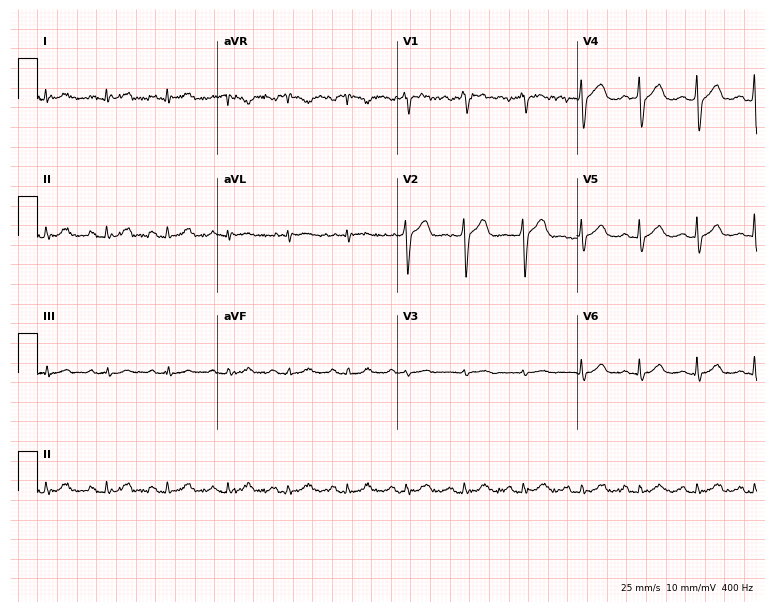
12-lead ECG from a man, 51 years old (7.3-second recording at 400 Hz). No first-degree AV block, right bundle branch block, left bundle branch block, sinus bradycardia, atrial fibrillation or sinus tachycardia recorded for this tracing. Only these six findings were labelled.